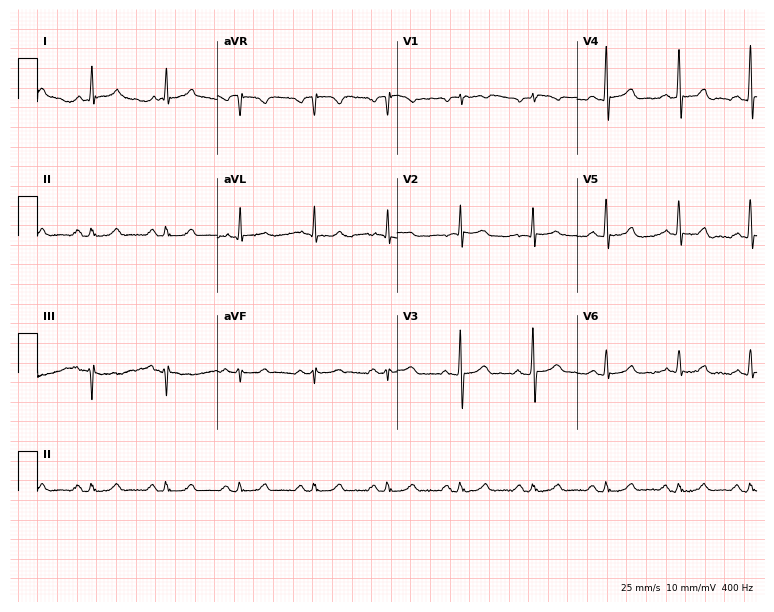
ECG — an 84-year-old male patient. Labelled as a normal ECG.